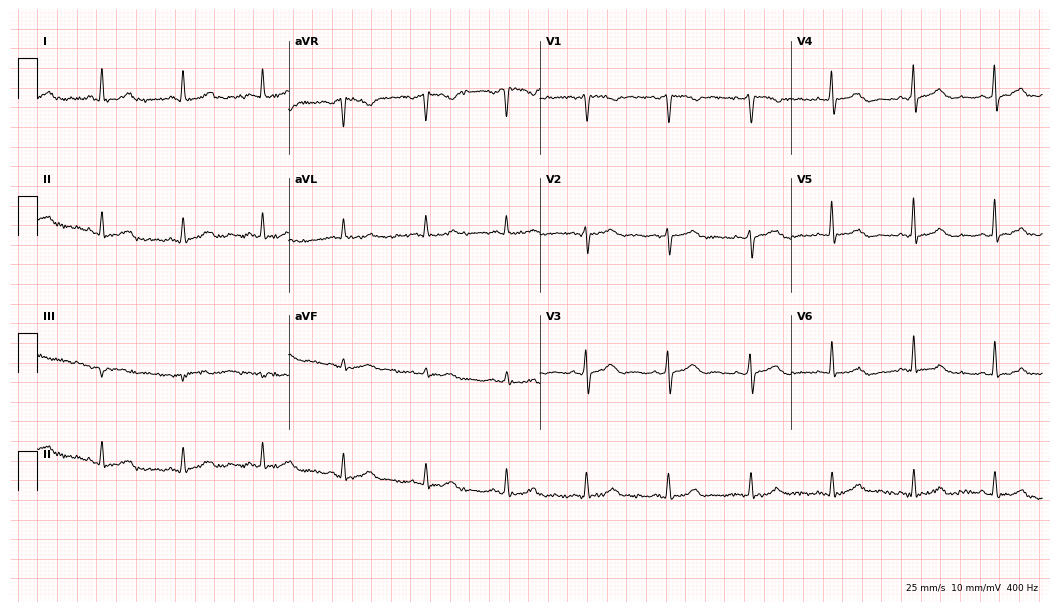
Resting 12-lead electrocardiogram (10.2-second recording at 400 Hz). Patient: a woman, 47 years old. Read as a normal ECG.